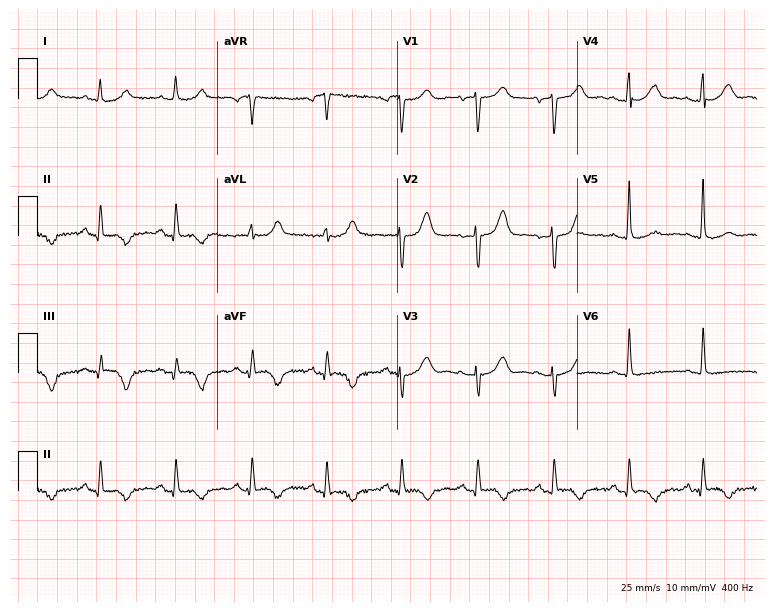
Resting 12-lead electrocardiogram. Patient: a female, 68 years old. None of these six findings is recorded: first-degree AV block, right bundle branch block, left bundle branch block, sinus bradycardia, atrial fibrillation, sinus tachycardia. Only these six findings were labelled.